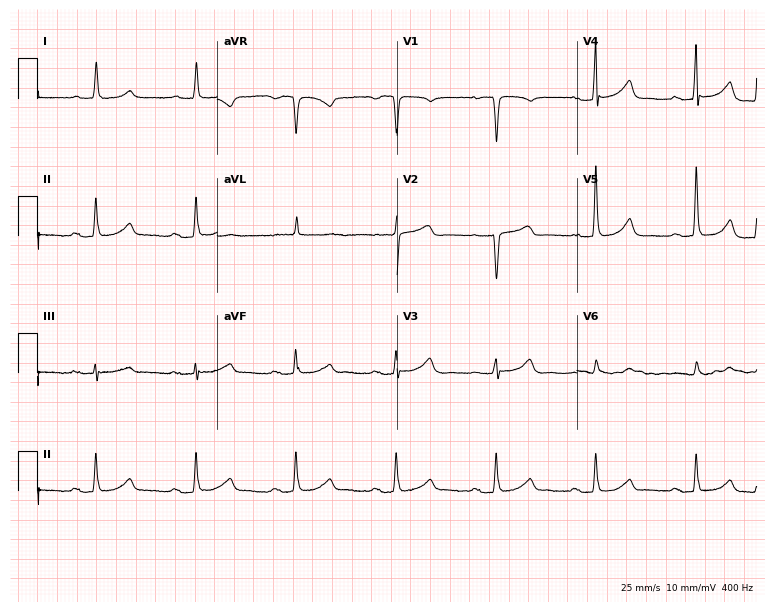
12-lead ECG from an 85-year-old woman. Recorded interpretation: within normal limits.